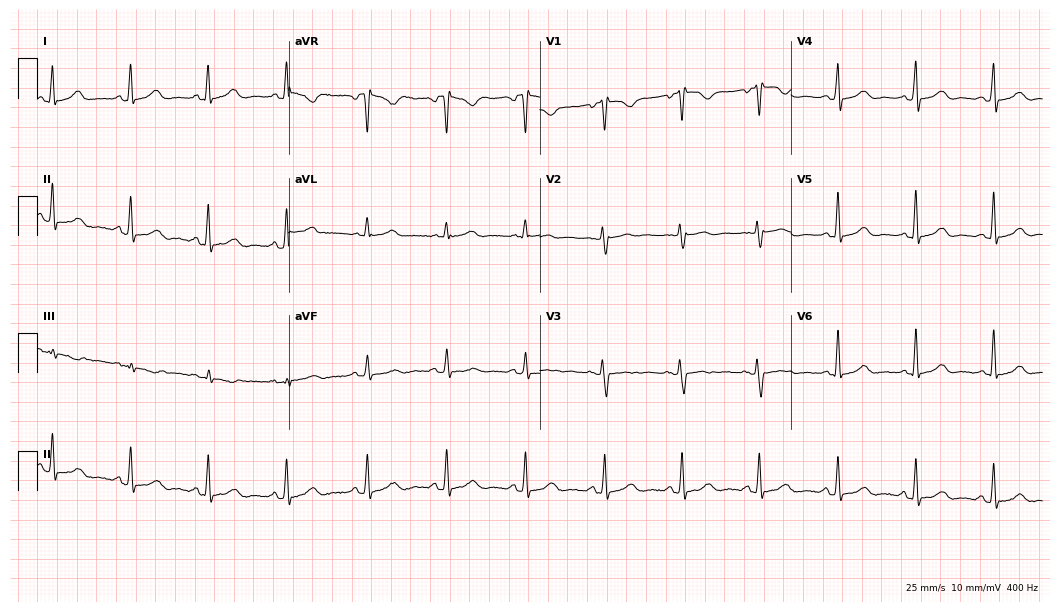
Electrocardiogram (10.2-second recording at 400 Hz), a 41-year-old female patient. Overall reading on record: normal ECG.